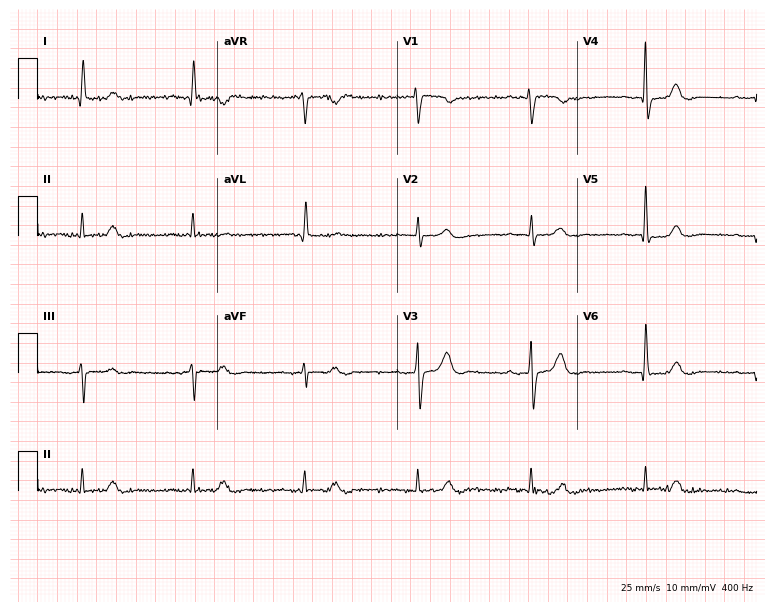
12-lead ECG (7.3-second recording at 400 Hz) from a male, 79 years old. Labelled as a normal ECG.